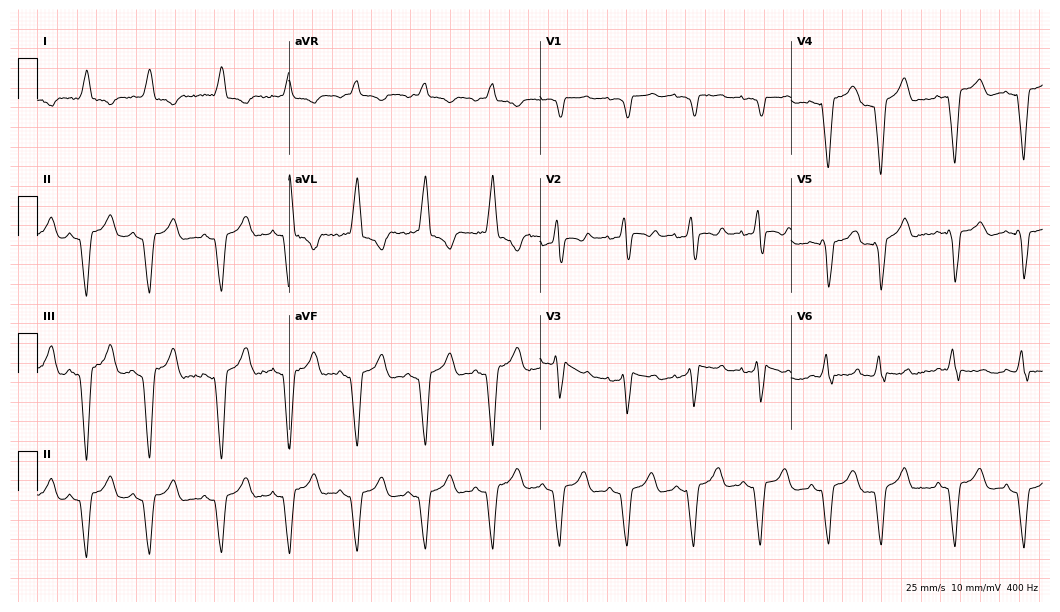
Electrocardiogram, a male, 85 years old. Of the six screened findings (first-degree AV block, right bundle branch block (RBBB), left bundle branch block (LBBB), sinus bradycardia, atrial fibrillation (AF), sinus tachycardia), none is recorded. Other findings, if any, are not listed.